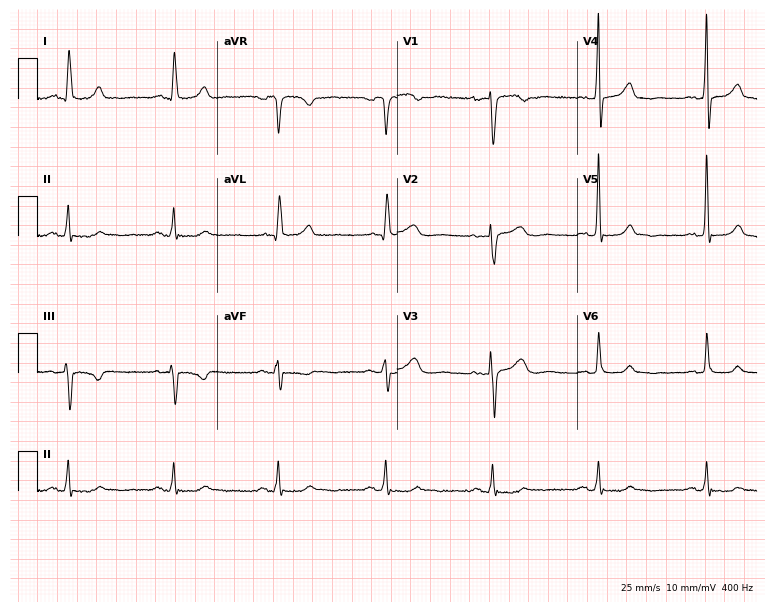
Electrocardiogram, a 60-year-old woman. Of the six screened findings (first-degree AV block, right bundle branch block, left bundle branch block, sinus bradycardia, atrial fibrillation, sinus tachycardia), none is recorded. Only these six findings were labelled.